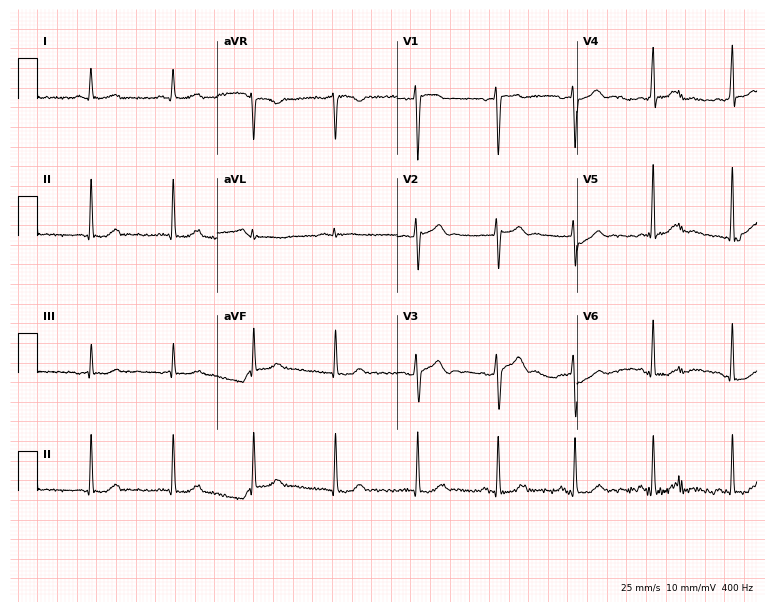
Electrocardiogram, a male, 42 years old. Overall reading on record: normal ECG.